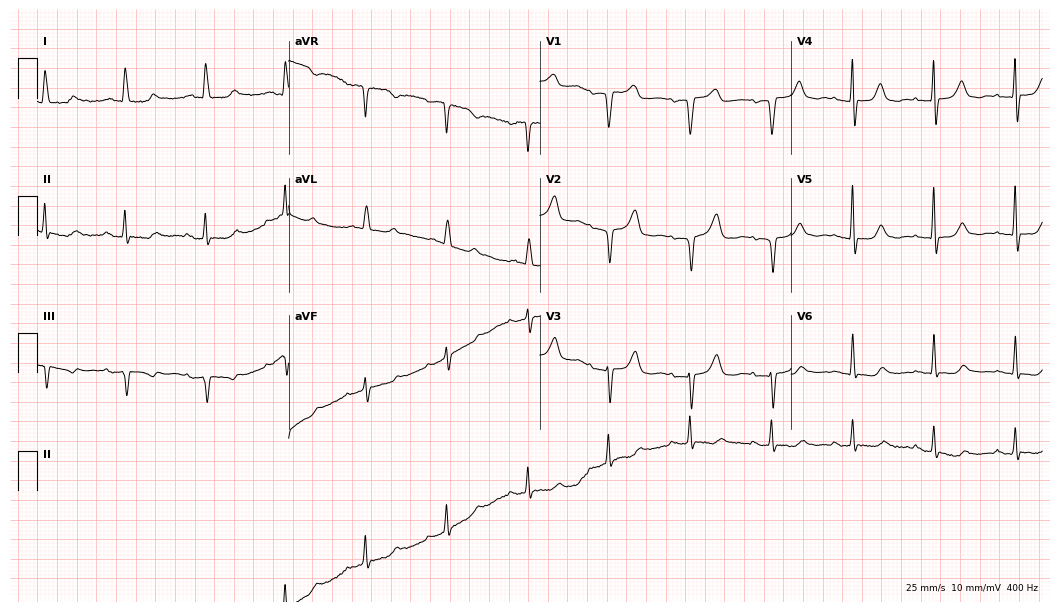
Standard 12-lead ECG recorded from an 82-year-old female (10.2-second recording at 400 Hz). None of these six findings is recorded: first-degree AV block, right bundle branch block (RBBB), left bundle branch block (LBBB), sinus bradycardia, atrial fibrillation (AF), sinus tachycardia. Only these six findings were labelled.